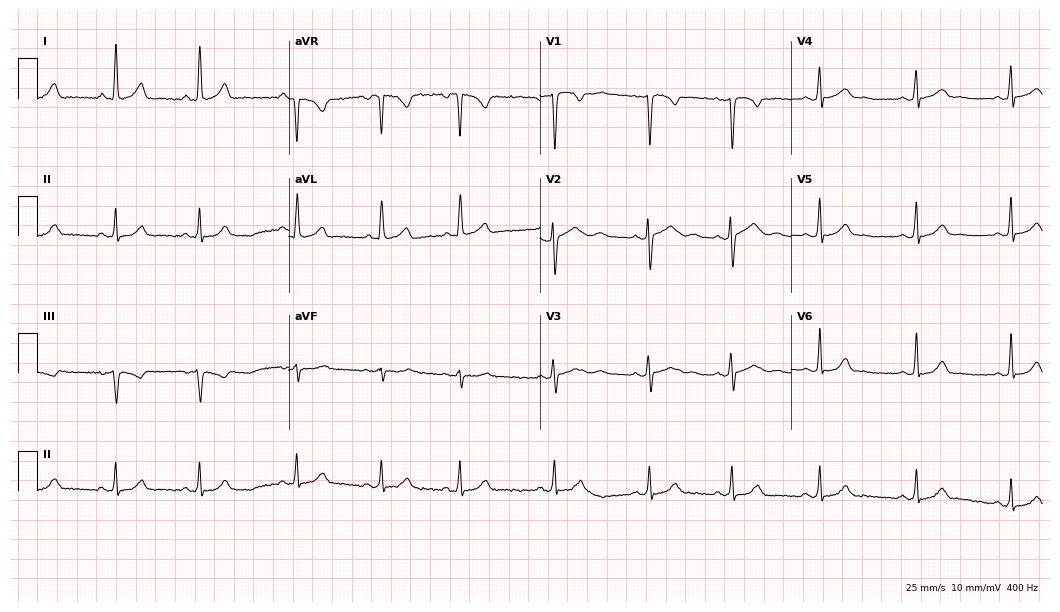
12-lead ECG (10.2-second recording at 400 Hz) from a woman, 18 years old. Labelled as a normal ECG.